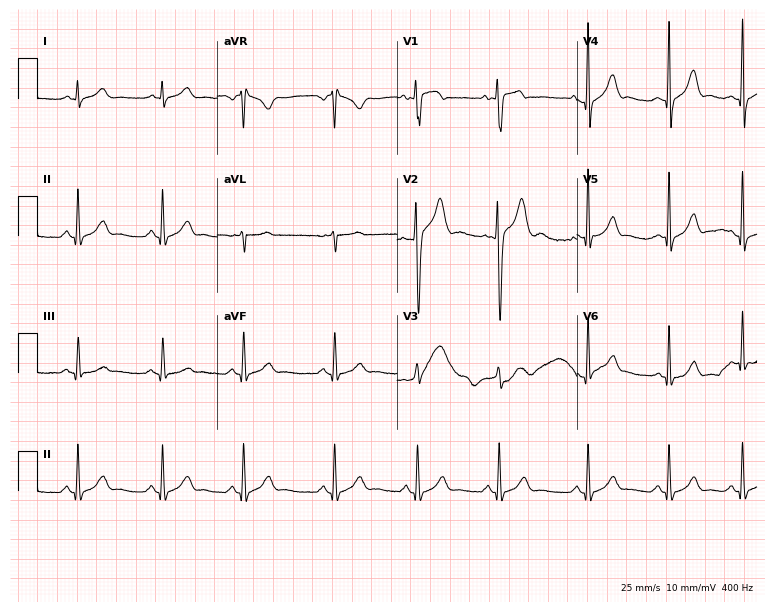
ECG — an 18-year-old male. Labelled as a normal ECG.